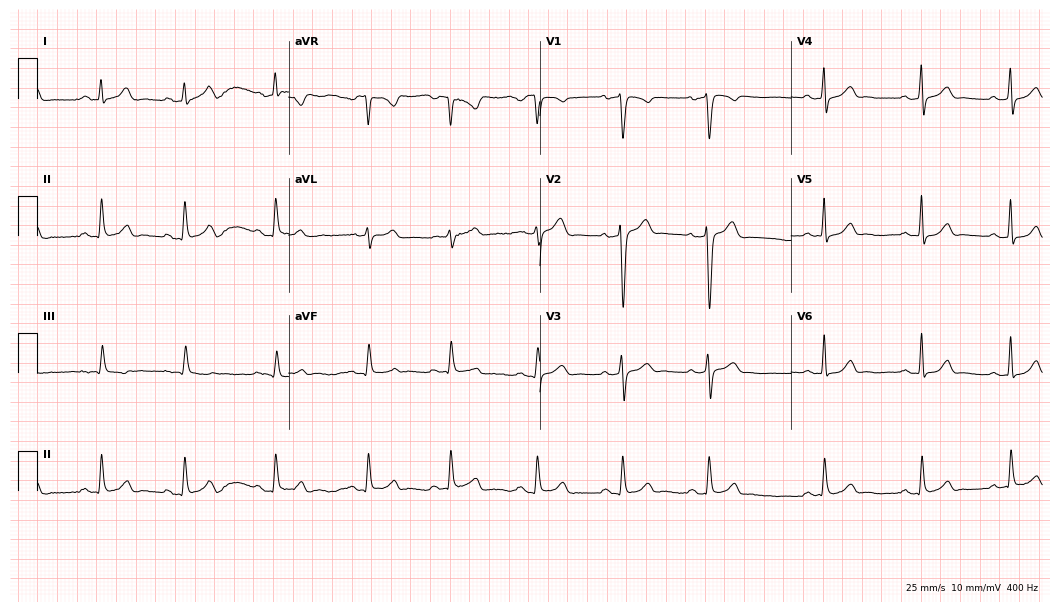
12-lead ECG from a 35-year-old man (10.2-second recording at 400 Hz). Recorded interpretation: within normal limits.